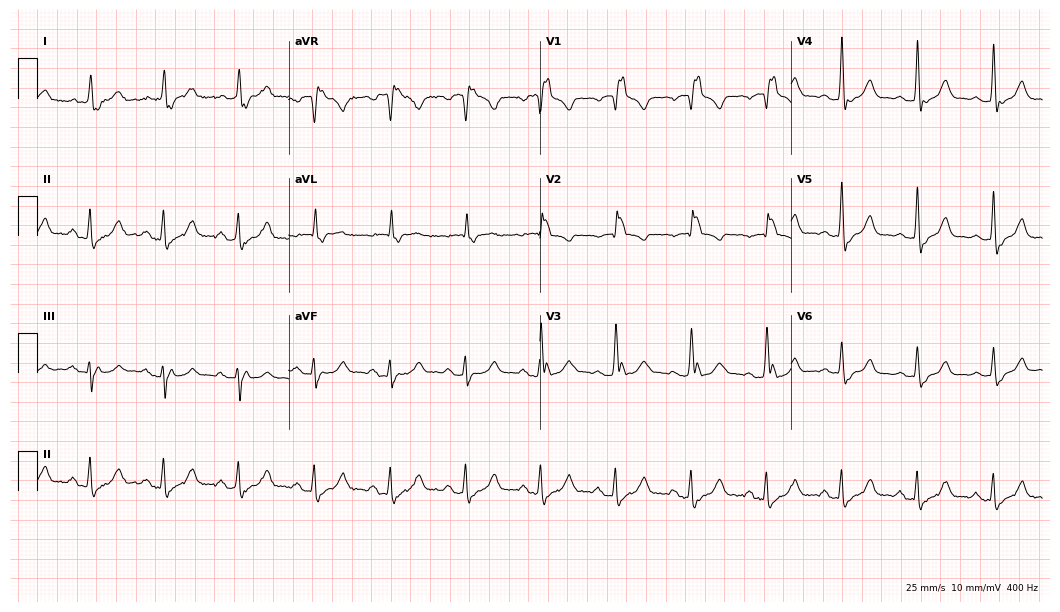
Electrocardiogram, a 78-year-old man. Interpretation includes right bundle branch block.